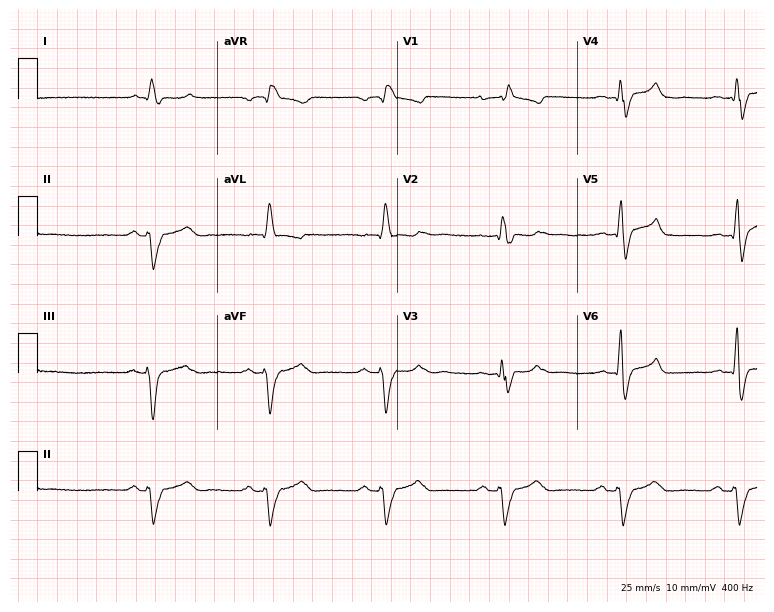
Resting 12-lead electrocardiogram (7.3-second recording at 400 Hz). Patient: a 71-year-old male. The tracing shows right bundle branch block.